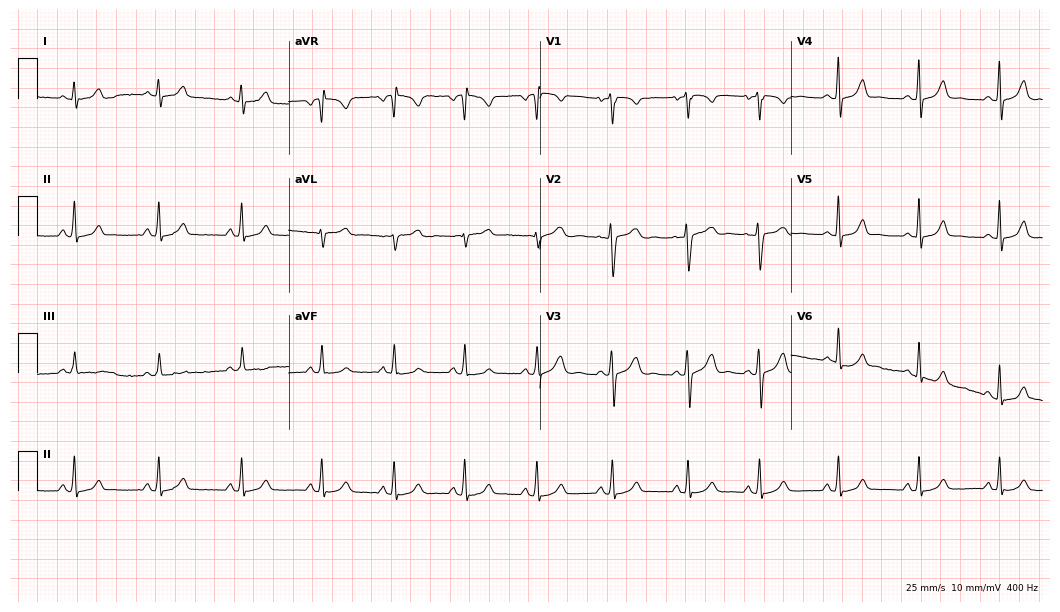
12-lead ECG from a 25-year-old female. Recorded interpretation: within normal limits.